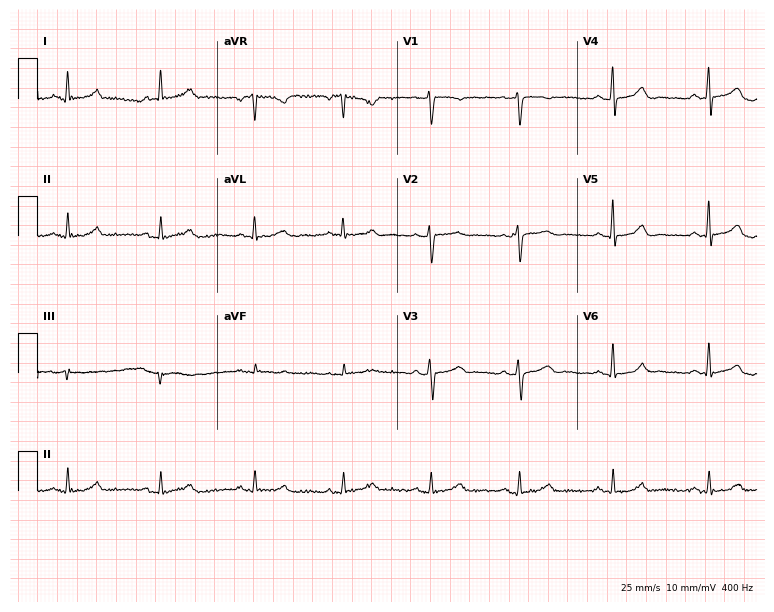
12-lead ECG from a 57-year-old female. Labelled as a normal ECG.